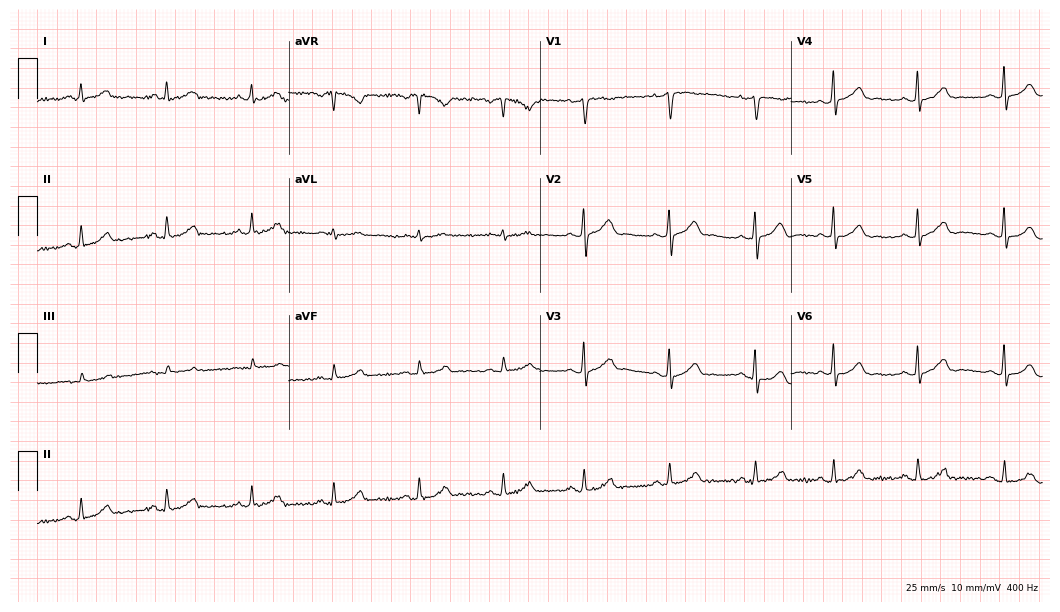
ECG — a female patient, 31 years old. Labelled as a normal ECG.